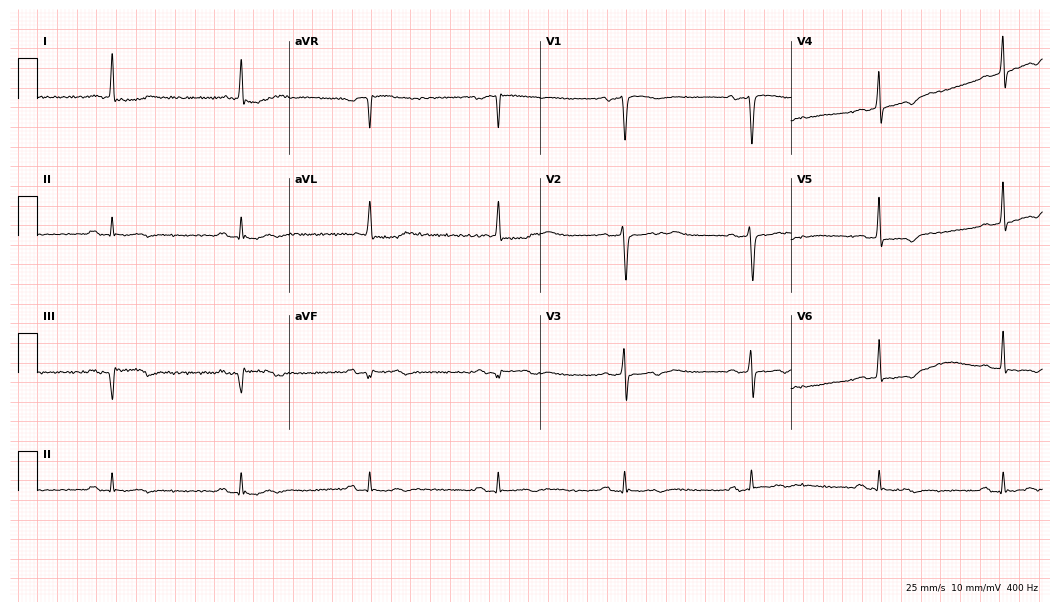
12-lead ECG (10.2-second recording at 400 Hz) from a man, 59 years old. Findings include sinus bradycardia (a sinus rate of 50 beats per minute or less).